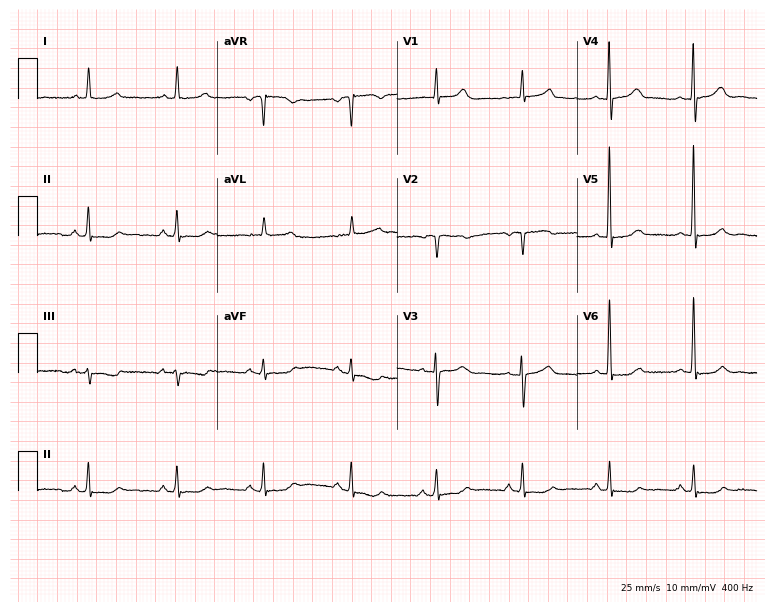
12-lead ECG from a female, 74 years old (7.3-second recording at 400 Hz). No first-degree AV block, right bundle branch block, left bundle branch block, sinus bradycardia, atrial fibrillation or sinus tachycardia recorded for this tracing.